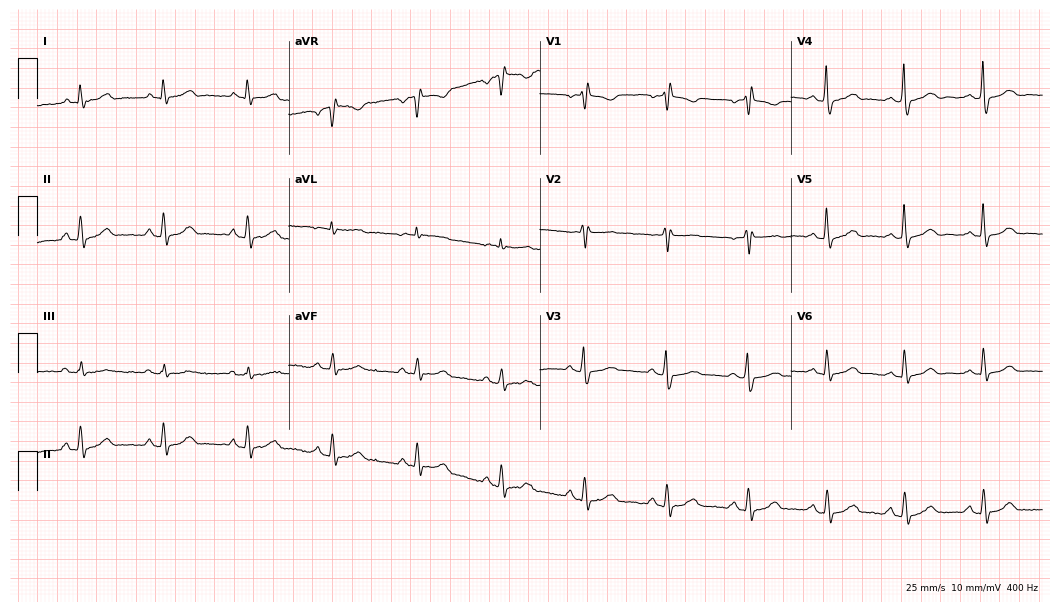
Resting 12-lead electrocardiogram. Patient: a 67-year-old female. Read as a normal ECG.